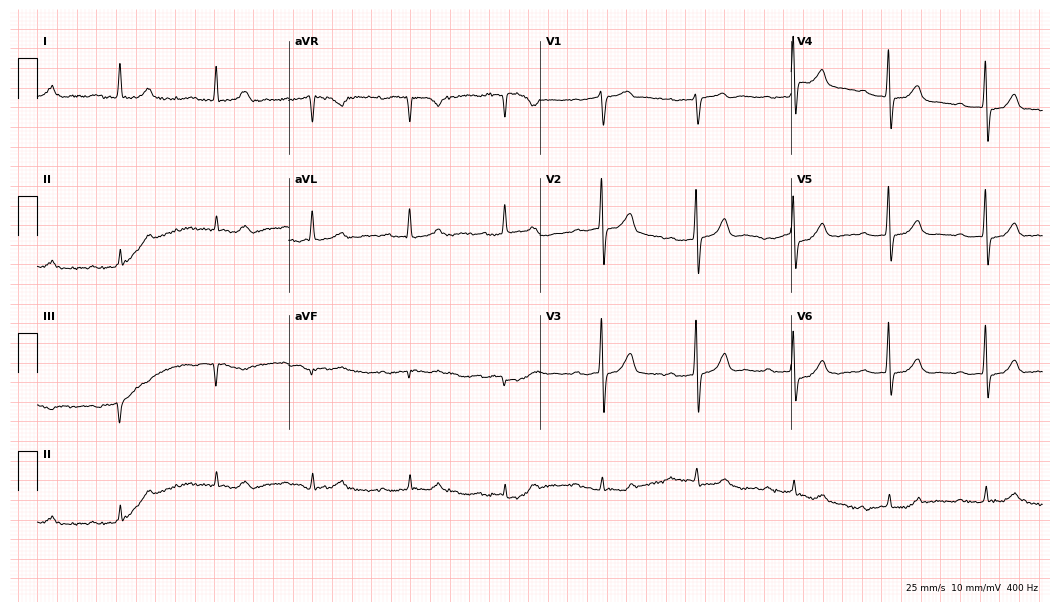
12-lead ECG from a 73-year-old man (10.2-second recording at 400 Hz). No first-degree AV block, right bundle branch block, left bundle branch block, sinus bradycardia, atrial fibrillation or sinus tachycardia recorded for this tracing.